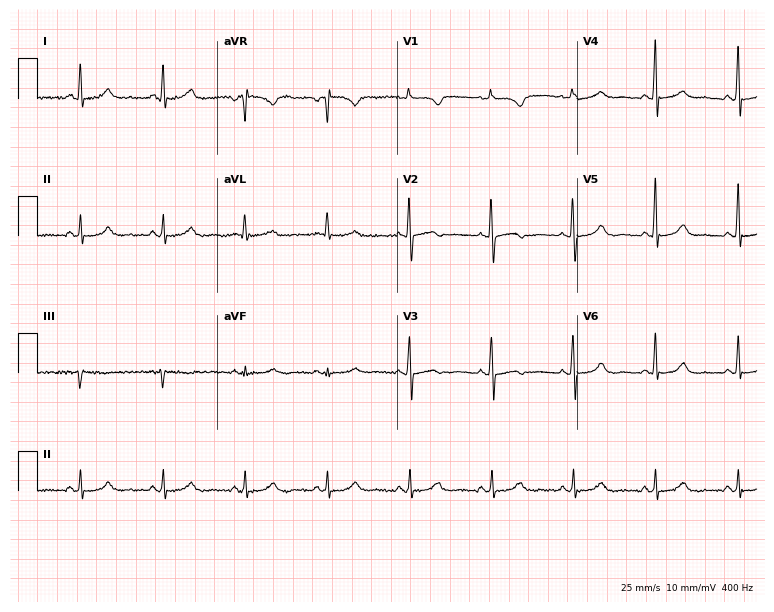
Resting 12-lead electrocardiogram. Patient: a female, 60 years old. None of these six findings is recorded: first-degree AV block, right bundle branch block, left bundle branch block, sinus bradycardia, atrial fibrillation, sinus tachycardia.